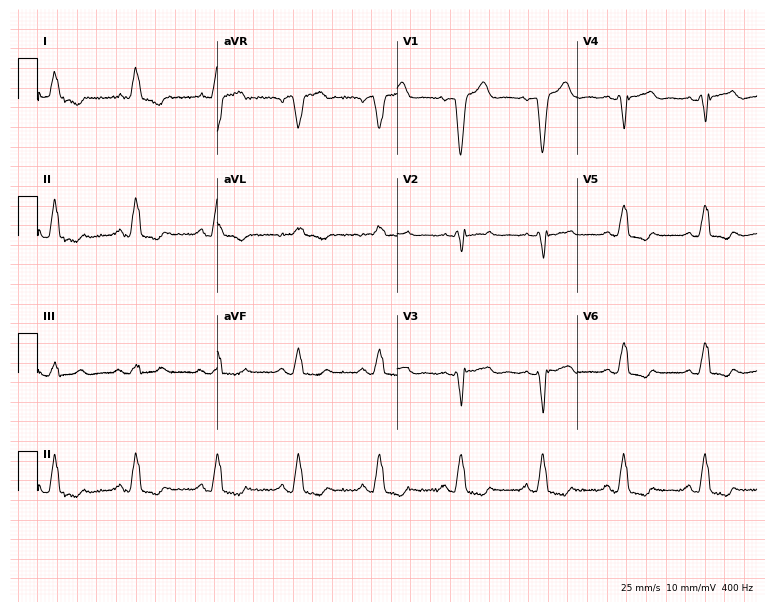
ECG (7.3-second recording at 400 Hz) — a woman, 75 years old. Findings include left bundle branch block (LBBB).